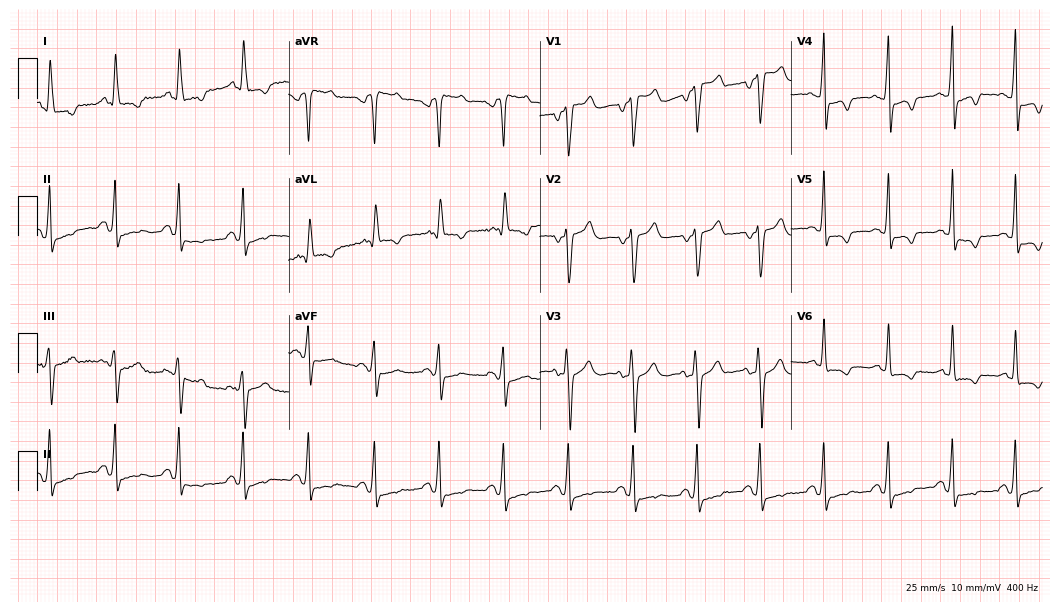
Electrocardiogram (10.2-second recording at 400 Hz), a woman, 84 years old. Of the six screened findings (first-degree AV block, right bundle branch block, left bundle branch block, sinus bradycardia, atrial fibrillation, sinus tachycardia), none is recorded.